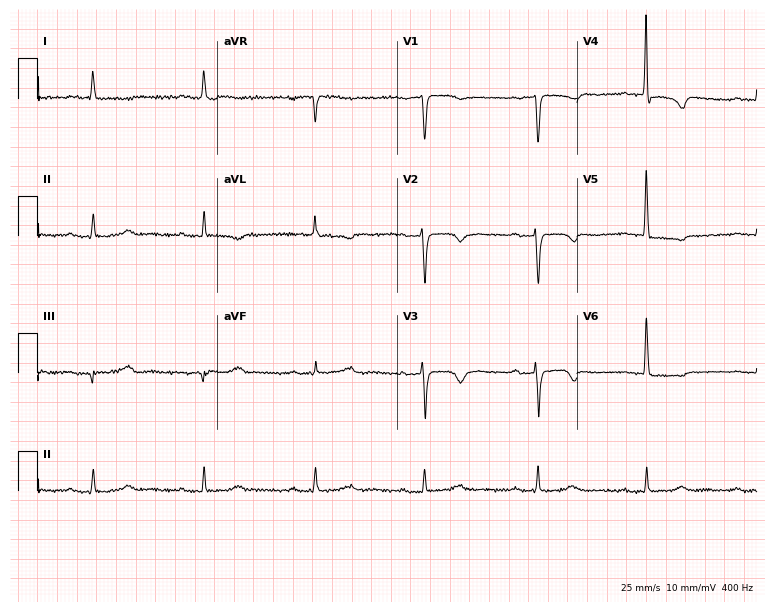
12-lead ECG from a female, 77 years old. Findings include first-degree AV block.